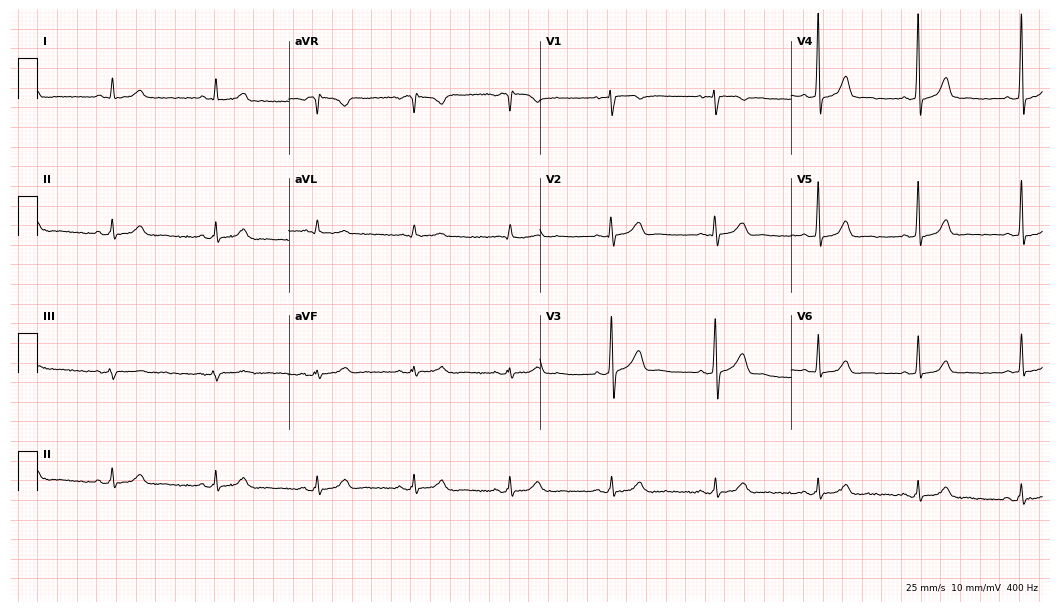
12-lead ECG from a 39-year-old female patient. Recorded interpretation: within normal limits.